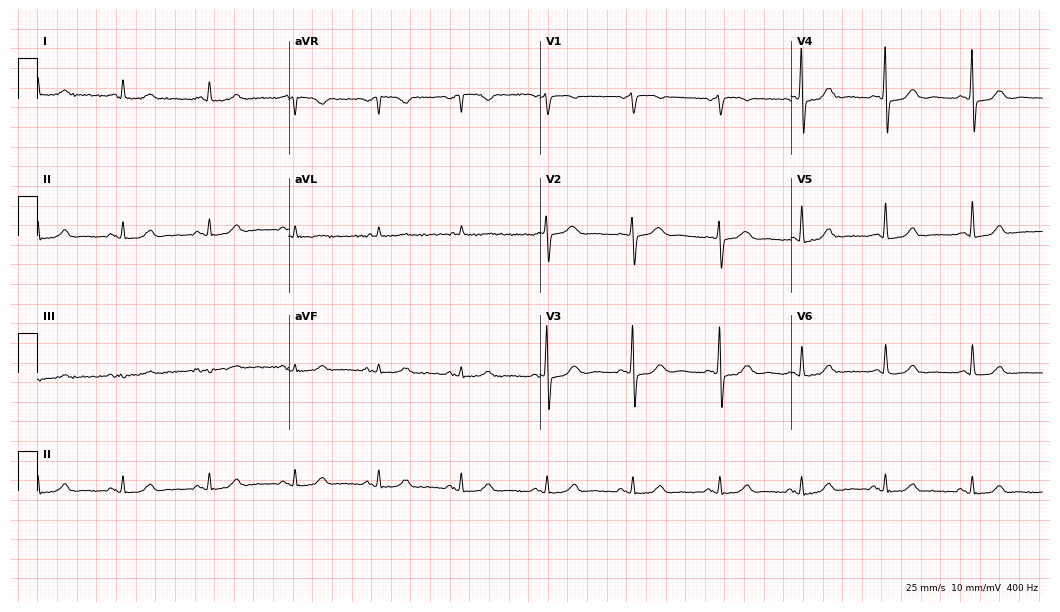
Standard 12-lead ECG recorded from a female patient, 50 years old (10.2-second recording at 400 Hz). None of these six findings is recorded: first-degree AV block, right bundle branch block, left bundle branch block, sinus bradycardia, atrial fibrillation, sinus tachycardia.